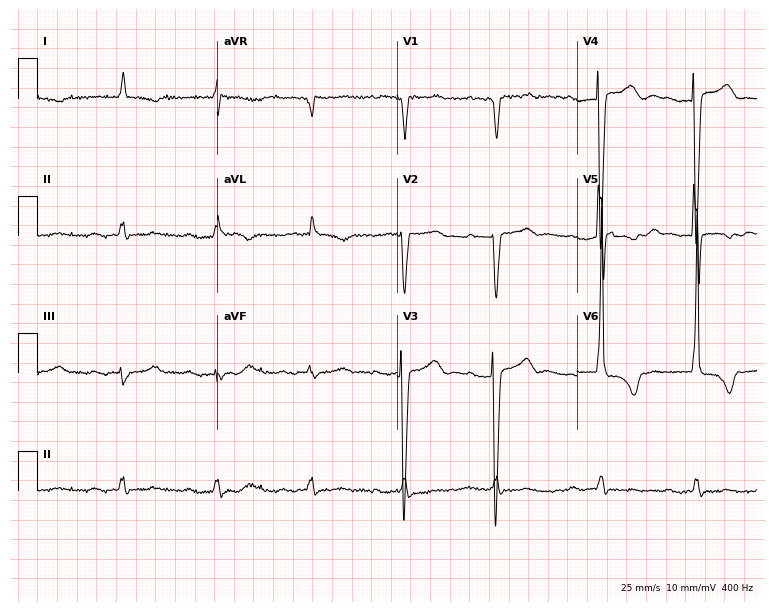
ECG — an 80-year-old man. Screened for six findings — first-degree AV block, right bundle branch block, left bundle branch block, sinus bradycardia, atrial fibrillation, sinus tachycardia — none is recorded. Findings outside these six are not listed.